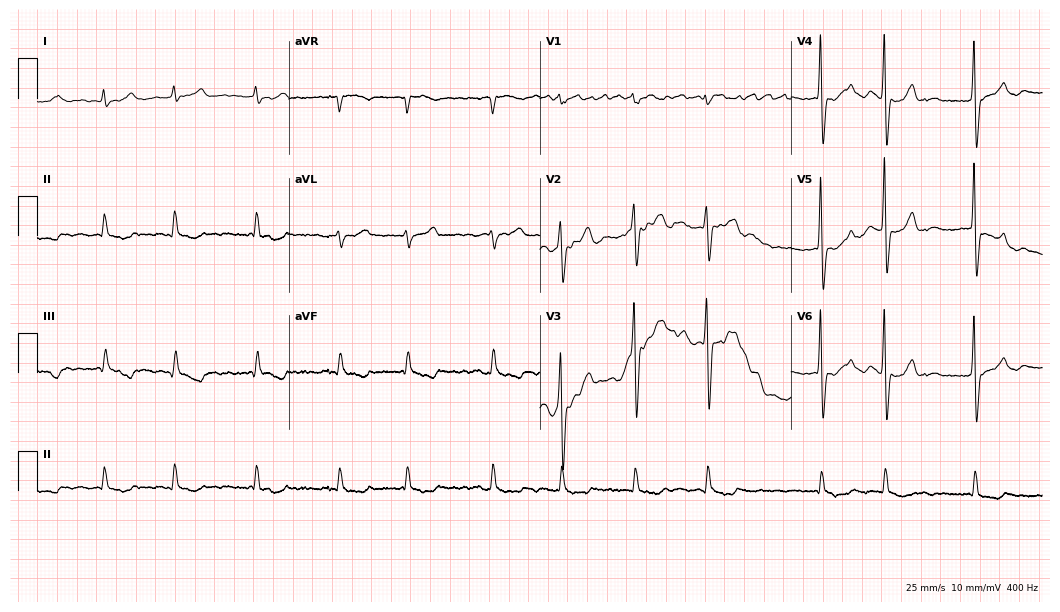
Standard 12-lead ECG recorded from a female, 74 years old. The tracing shows atrial fibrillation (AF).